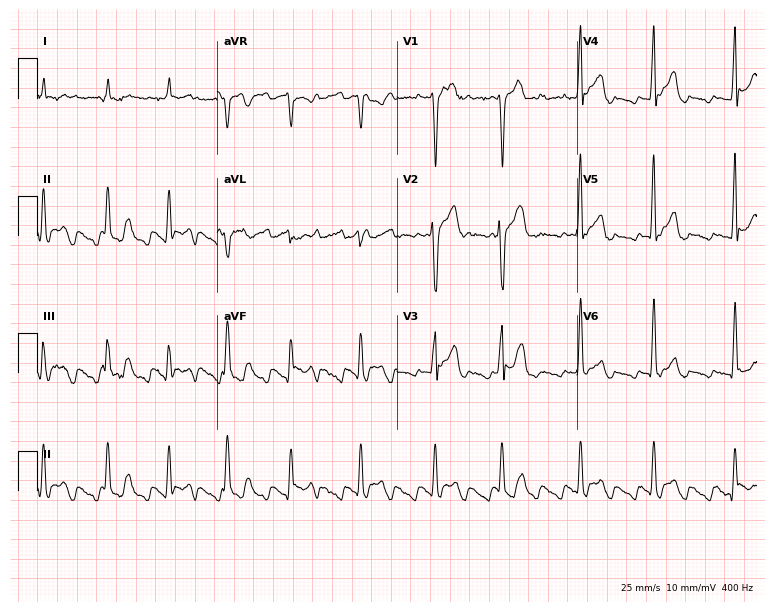
12-lead ECG (7.3-second recording at 400 Hz) from a male, 54 years old. Screened for six findings — first-degree AV block, right bundle branch block, left bundle branch block, sinus bradycardia, atrial fibrillation, sinus tachycardia — none is recorded. Other findings, if any, are not listed.